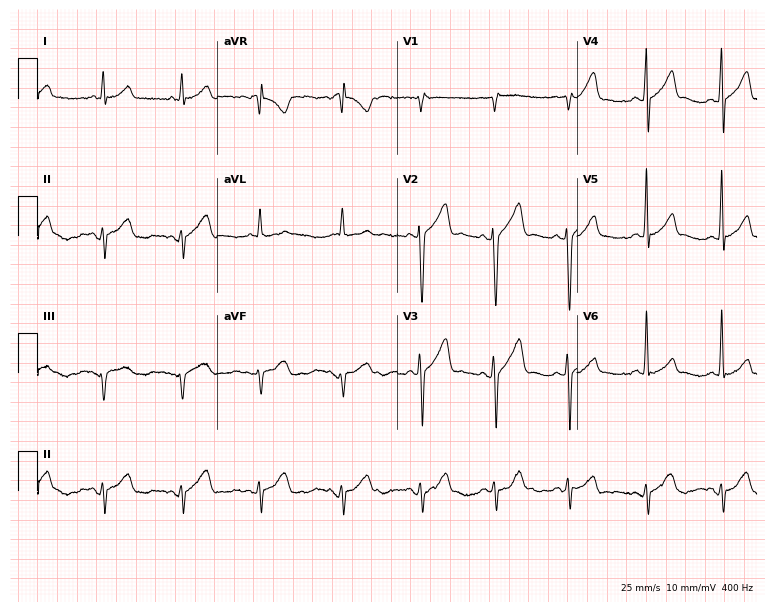
Electrocardiogram, a 28-year-old male patient. Overall reading on record: normal ECG.